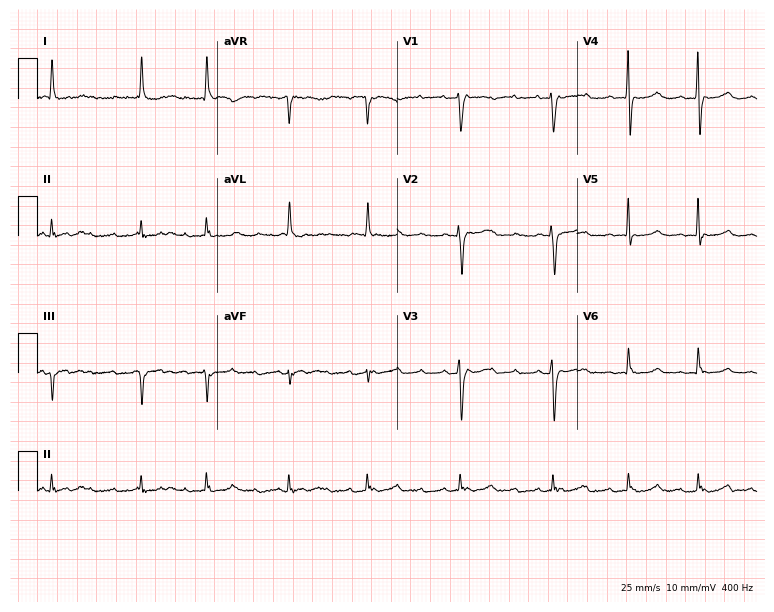
Electrocardiogram (7.3-second recording at 400 Hz), a female patient, 82 years old. Overall reading on record: normal ECG.